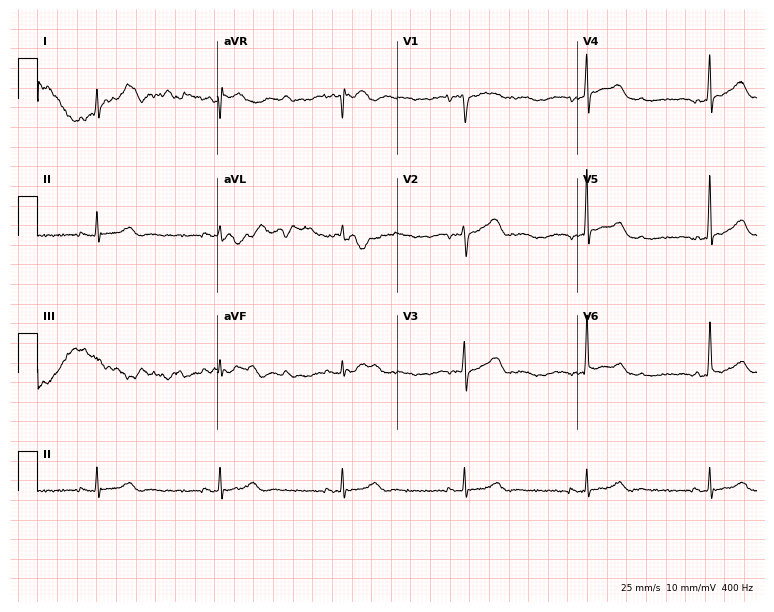
12-lead ECG (7.3-second recording at 400 Hz) from an 81-year-old female. Findings include sinus bradycardia (a sinus rate of 50 beats per minute or less).